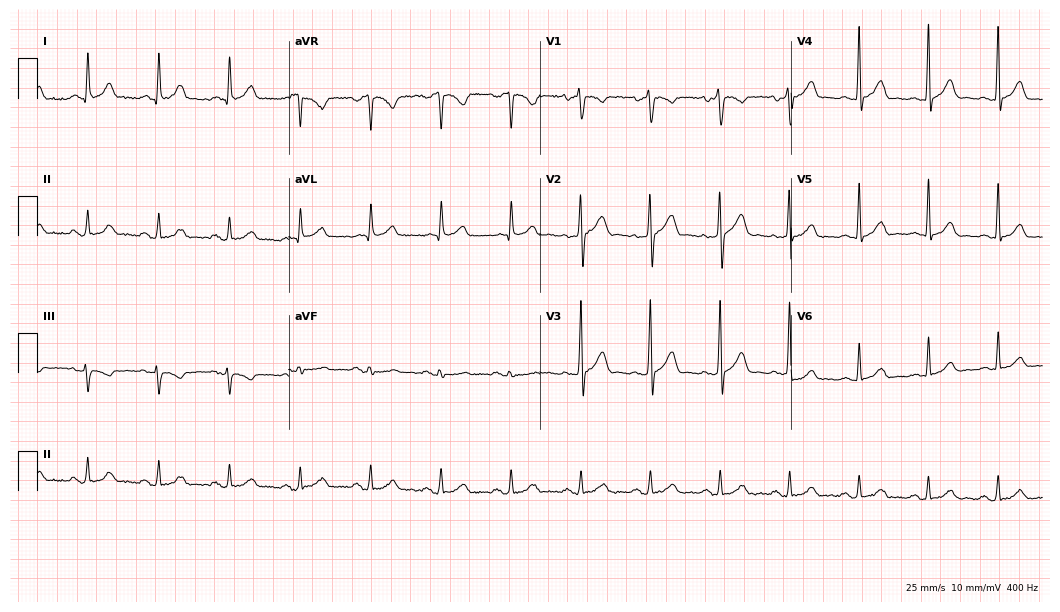
Resting 12-lead electrocardiogram (10.2-second recording at 400 Hz). Patient: a male, 28 years old. Read as a normal ECG.